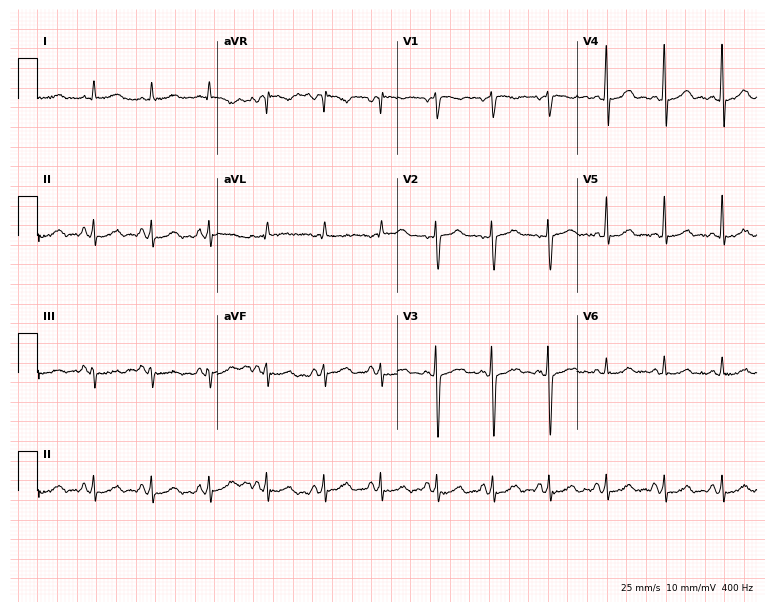
Resting 12-lead electrocardiogram (7.3-second recording at 400 Hz). Patient: a 70-year-old male. Read as a normal ECG.